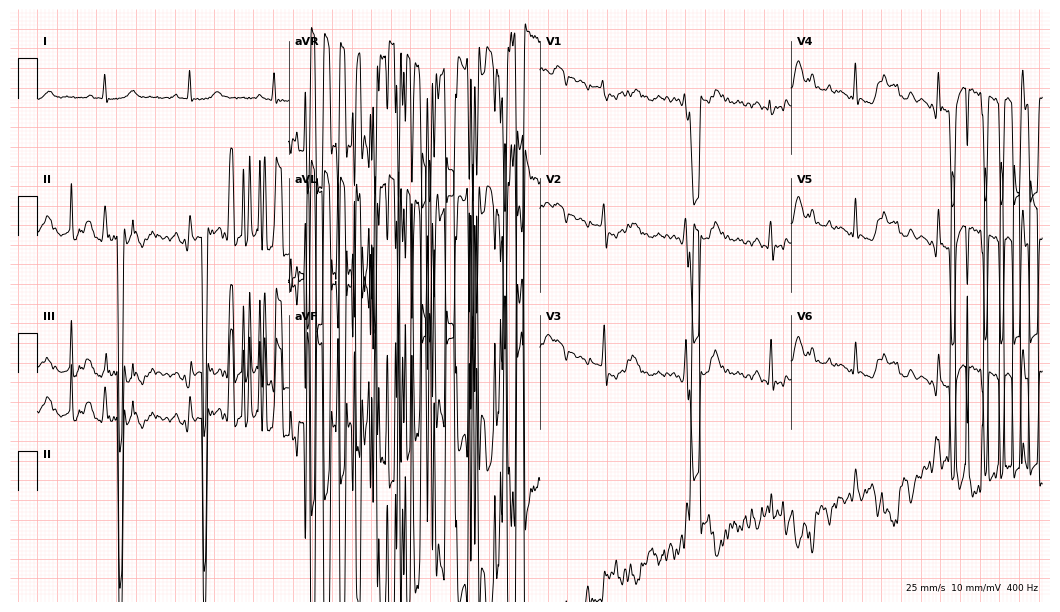
12-lead ECG from a 69-year-old female (10.2-second recording at 400 Hz). No first-degree AV block, right bundle branch block, left bundle branch block, sinus bradycardia, atrial fibrillation or sinus tachycardia recorded for this tracing. Only these six findings were labelled.